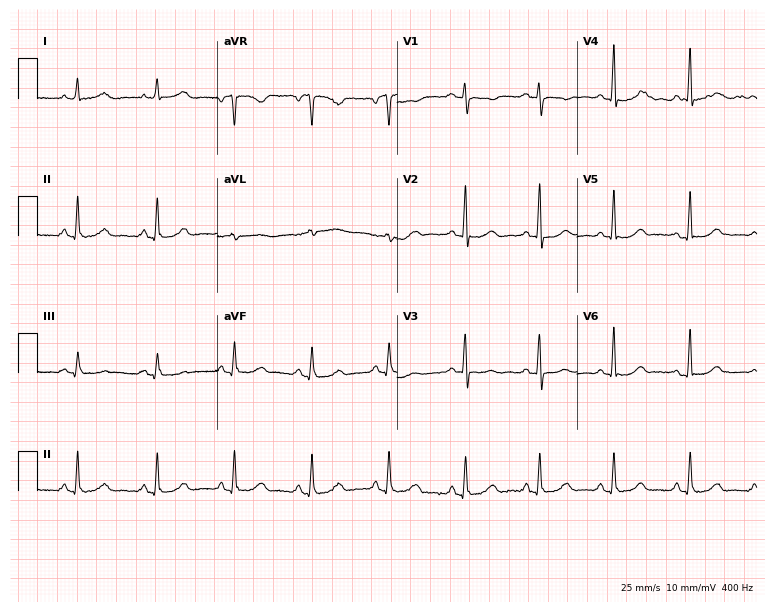
12-lead ECG (7.3-second recording at 400 Hz) from a female patient, 46 years old. Labelled as a normal ECG.